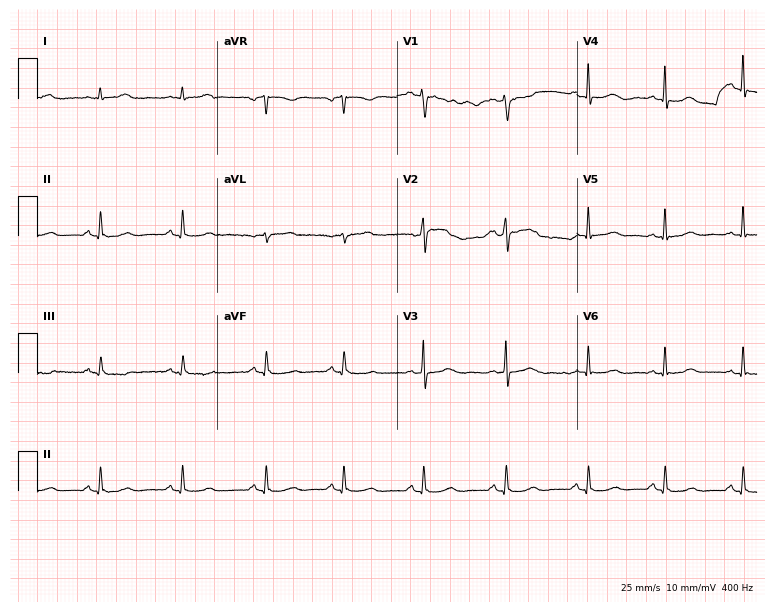
12-lead ECG from a female patient, 34 years old. Recorded interpretation: within normal limits.